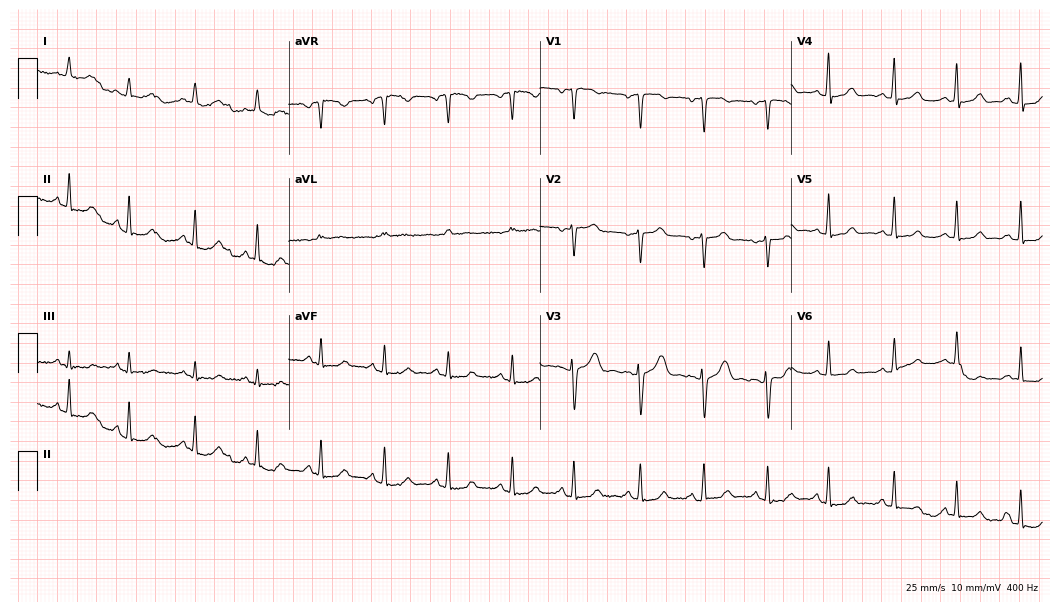
ECG — a female patient, 44 years old. Labelled as a normal ECG.